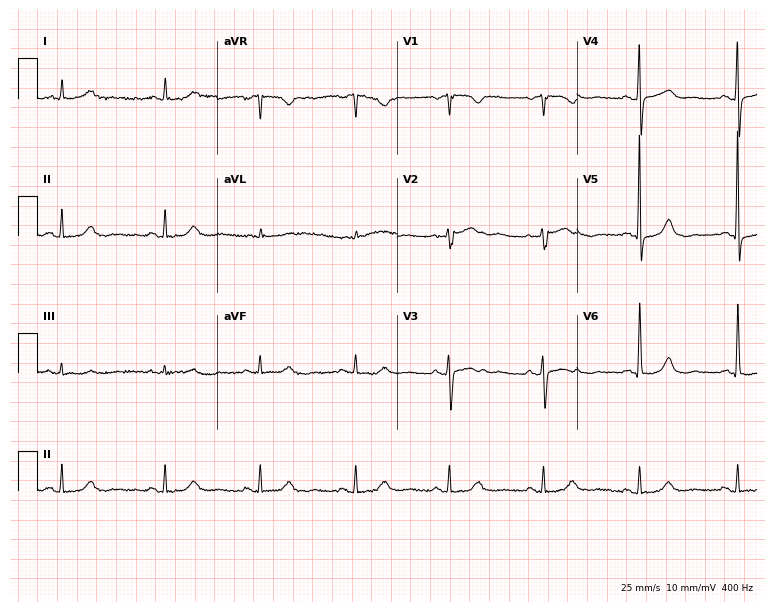
Standard 12-lead ECG recorded from a woman, 64 years old. Read as a normal ECG.